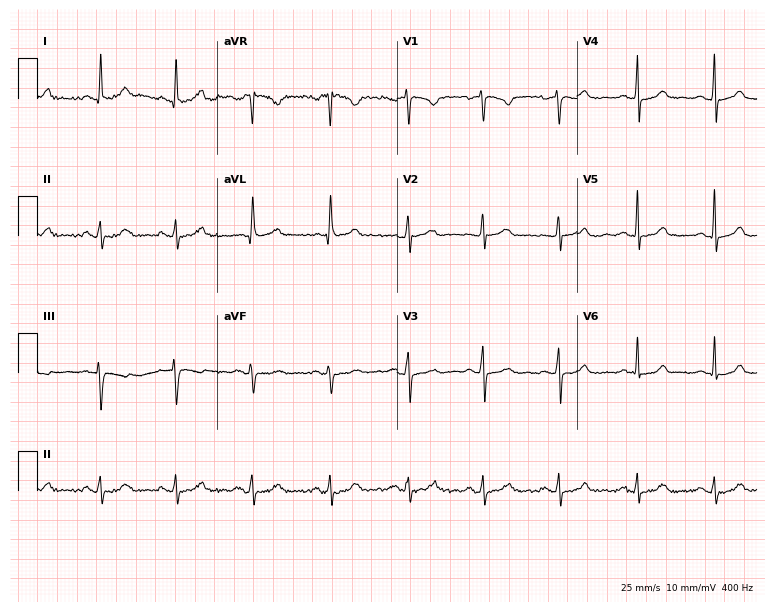
Electrocardiogram (7.3-second recording at 400 Hz), a 41-year-old female patient. Overall reading on record: normal ECG.